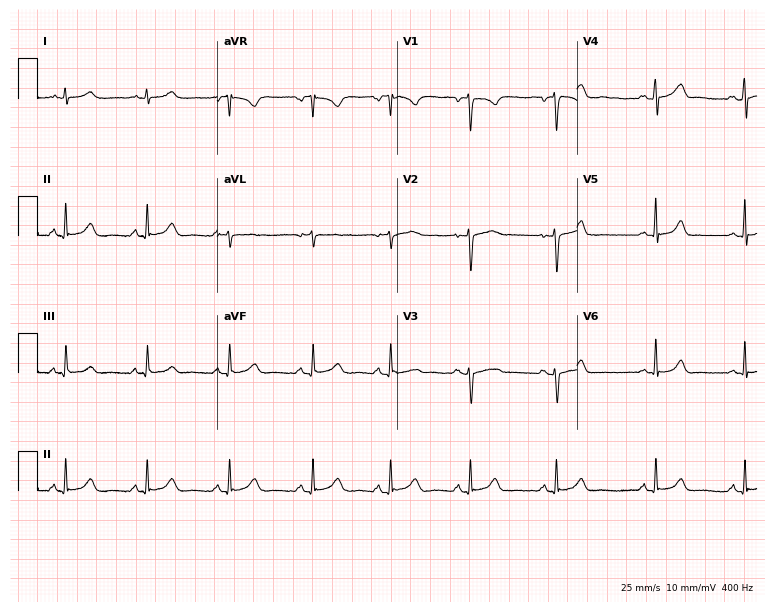
12-lead ECG from a female patient, 38 years old. Labelled as a normal ECG.